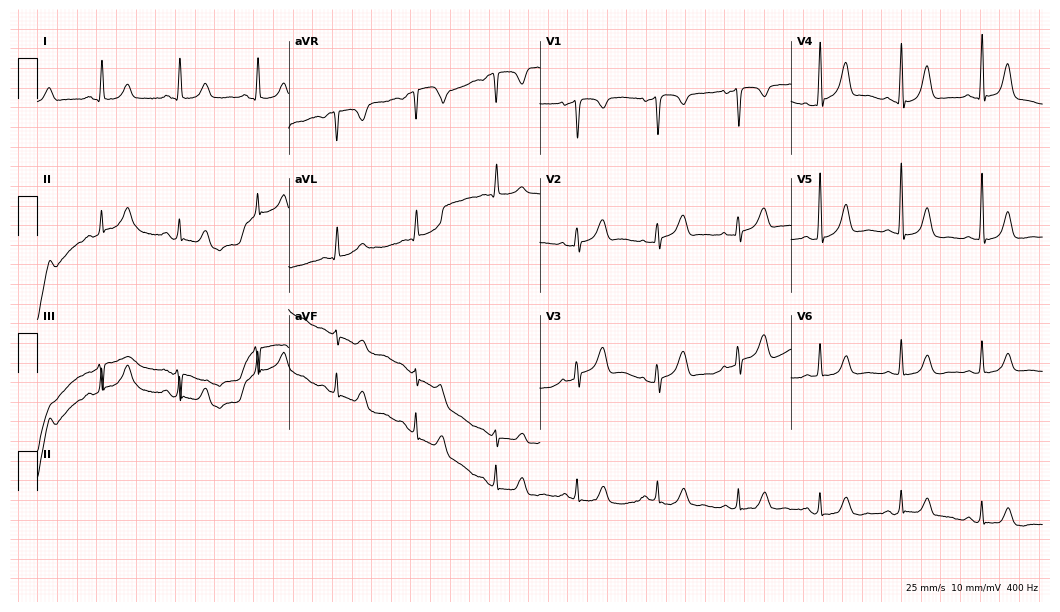
Resting 12-lead electrocardiogram. Patient: a woman, 70 years old. Read as a normal ECG.